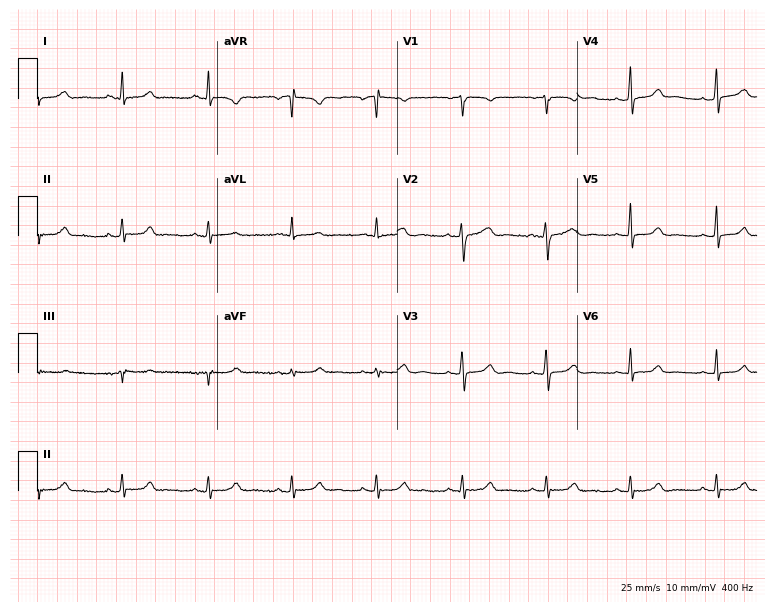
12-lead ECG from a female patient, 40 years old (7.3-second recording at 400 Hz). Recorded interpretation: within normal limits.